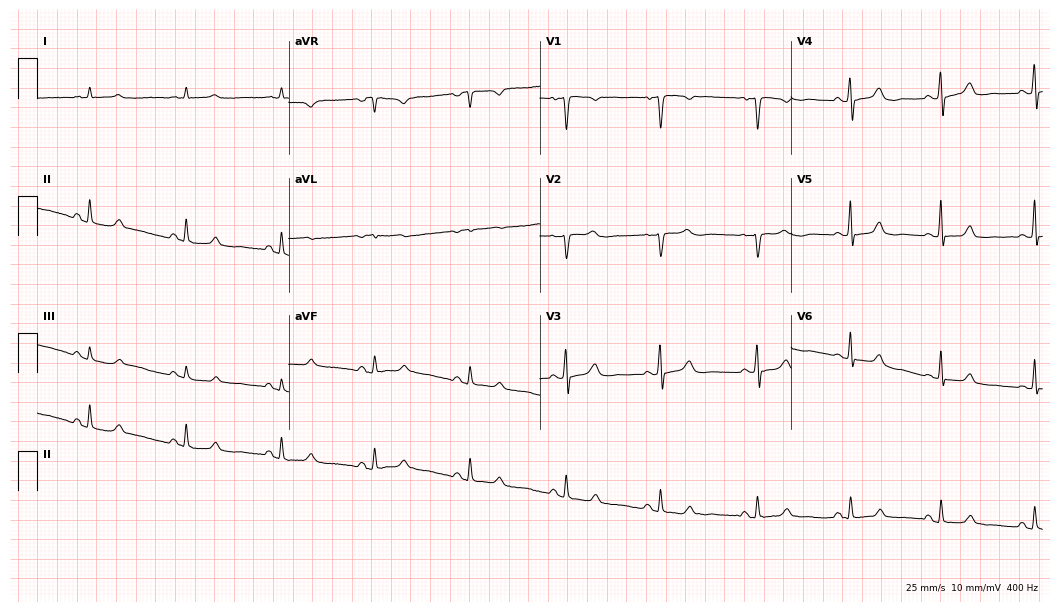
Standard 12-lead ECG recorded from a 55-year-old female patient. None of these six findings is recorded: first-degree AV block, right bundle branch block (RBBB), left bundle branch block (LBBB), sinus bradycardia, atrial fibrillation (AF), sinus tachycardia. Only these six findings were labelled.